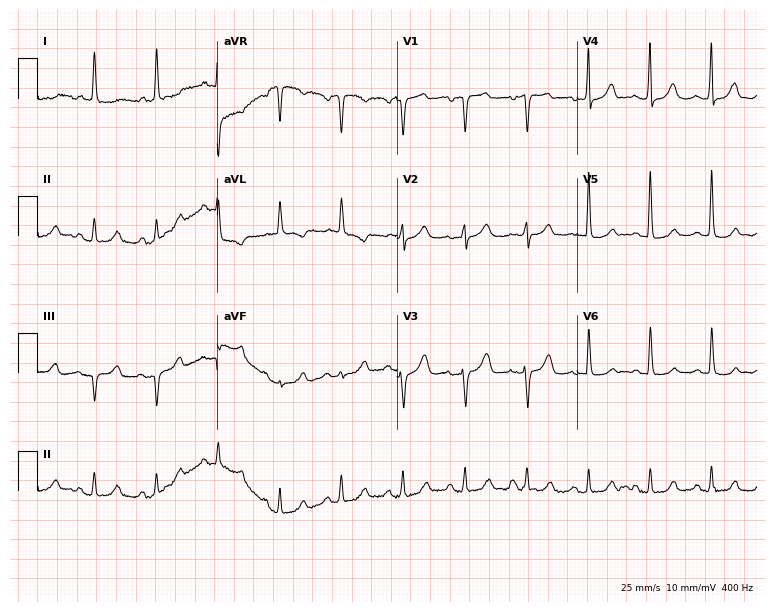
12-lead ECG from a male patient, 78 years old. No first-degree AV block, right bundle branch block, left bundle branch block, sinus bradycardia, atrial fibrillation or sinus tachycardia recorded for this tracing.